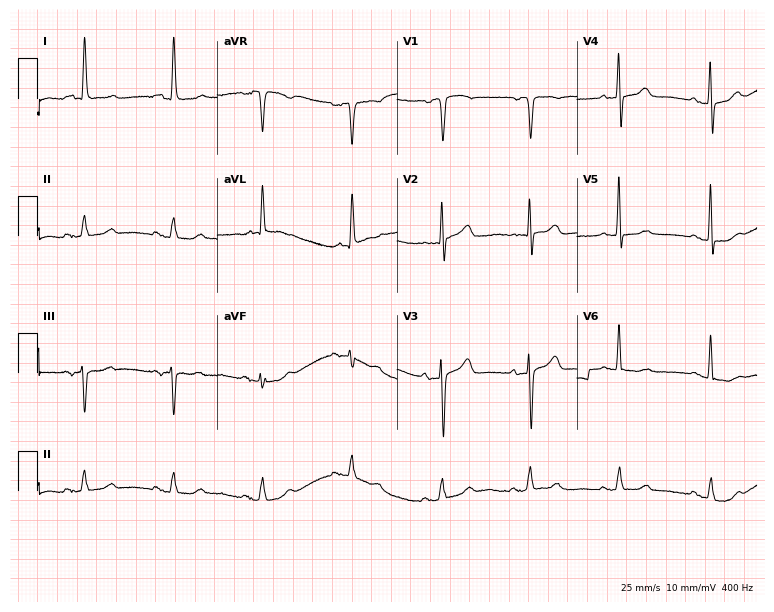
12-lead ECG from a 65-year-old female patient (7.3-second recording at 400 Hz). No first-degree AV block, right bundle branch block, left bundle branch block, sinus bradycardia, atrial fibrillation or sinus tachycardia recorded for this tracing. Other findings, if any, are not listed.